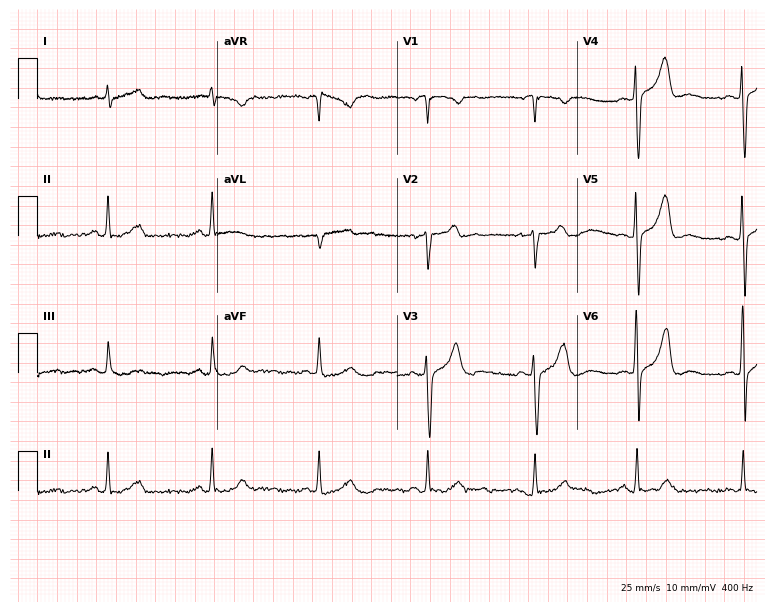
Resting 12-lead electrocardiogram. Patient: a male, 55 years old. Read as a normal ECG.